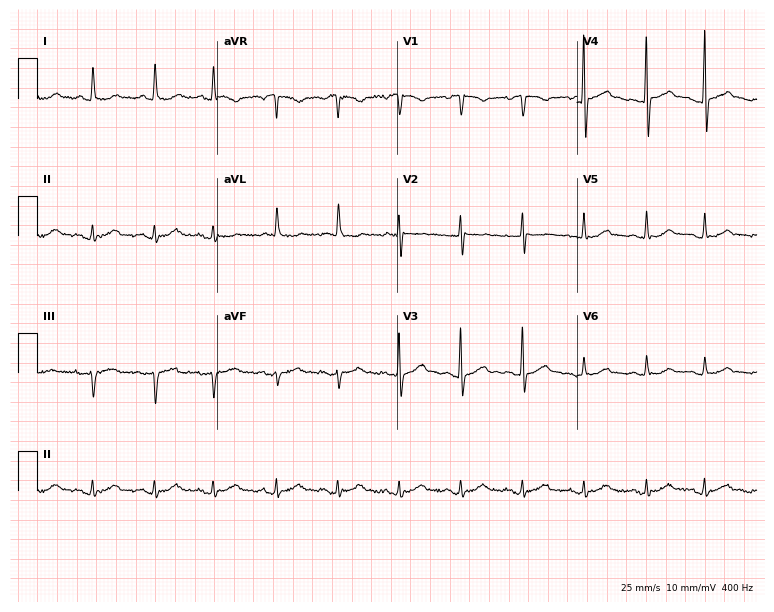
Electrocardiogram, a man, 81 years old. Of the six screened findings (first-degree AV block, right bundle branch block, left bundle branch block, sinus bradycardia, atrial fibrillation, sinus tachycardia), none is recorded. Other findings, if any, are not listed.